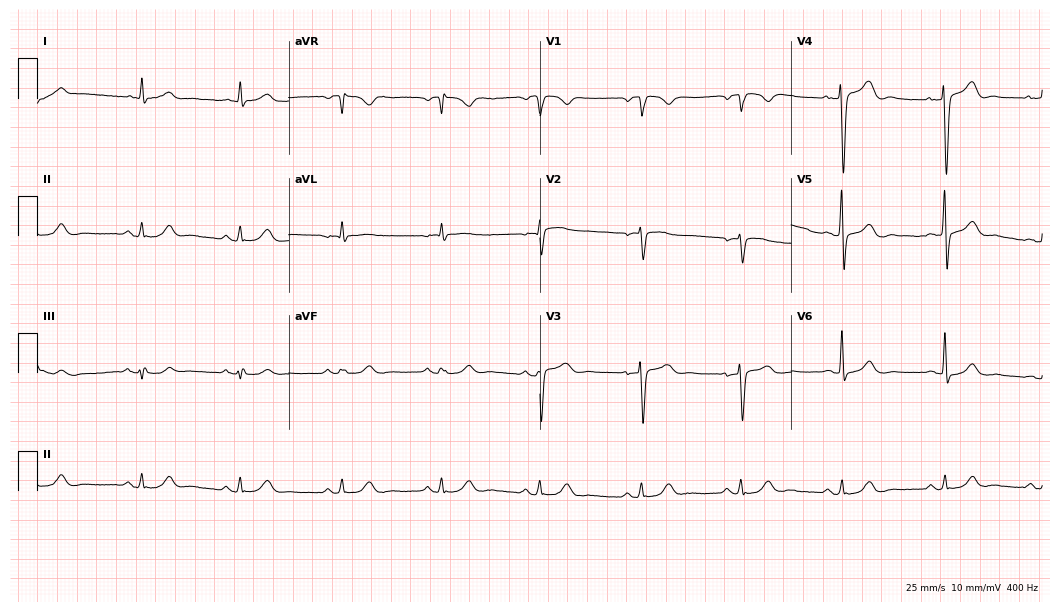
Electrocardiogram (10.2-second recording at 400 Hz), a 66-year-old male. Interpretation includes sinus bradycardia (a sinus rate of 50 beats per minute or less).